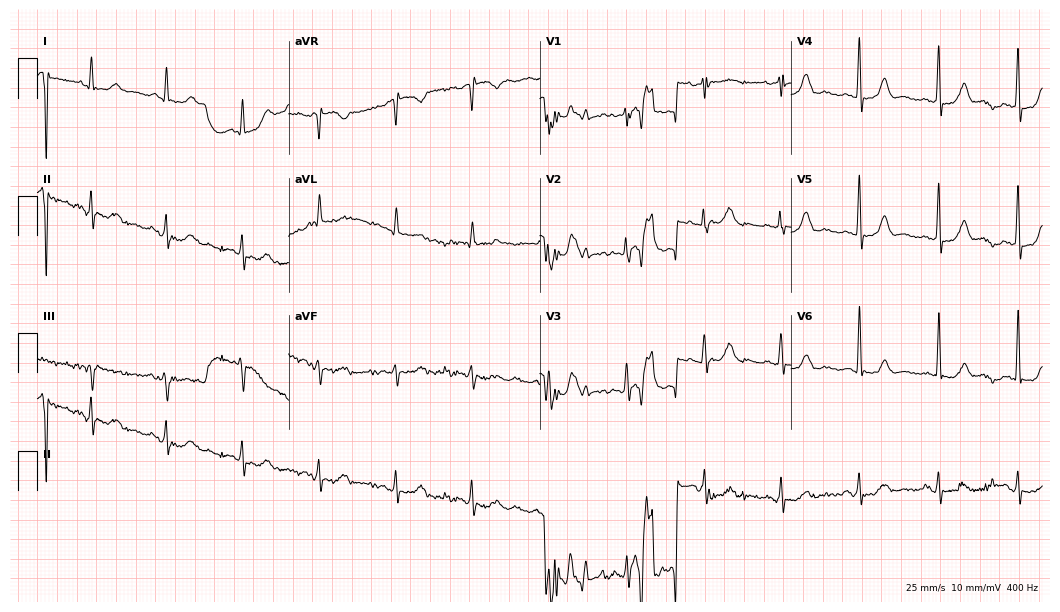
ECG (10.2-second recording at 400 Hz) — a female patient, 73 years old. Screened for six findings — first-degree AV block, right bundle branch block (RBBB), left bundle branch block (LBBB), sinus bradycardia, atrial fibrillation (AF), sinus tachycardia — none is recorded. Only these six findings were labelled.